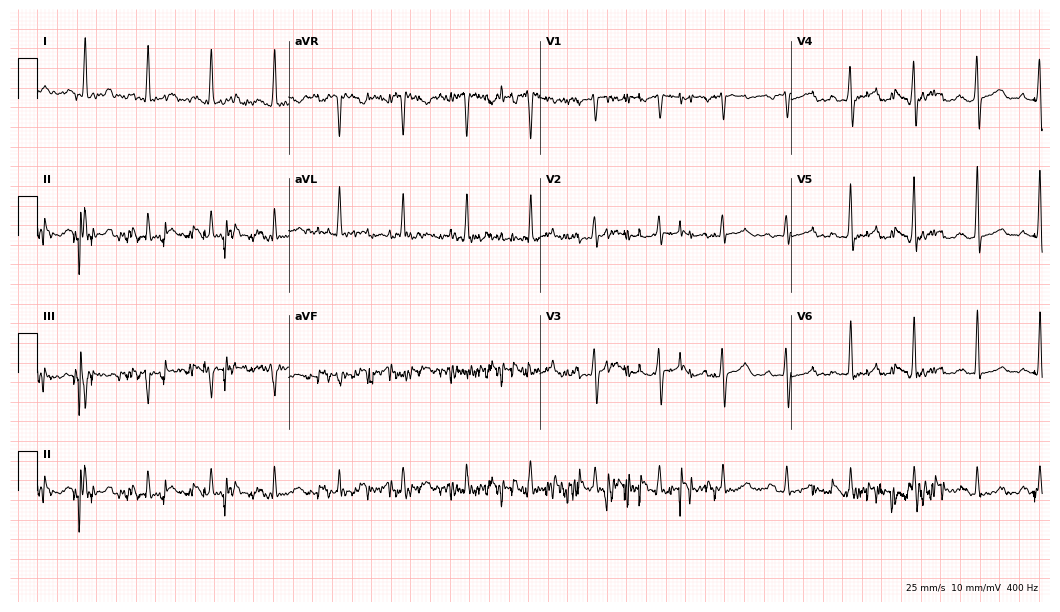
Standard 12-lead ECG recorded from a female, 30 years old. None of these six findings is recorded: first-degree AV block, right bundle branch block, left bundle branch block, sinus bradycardia, atrial fibrillation, sinus tachycardia.